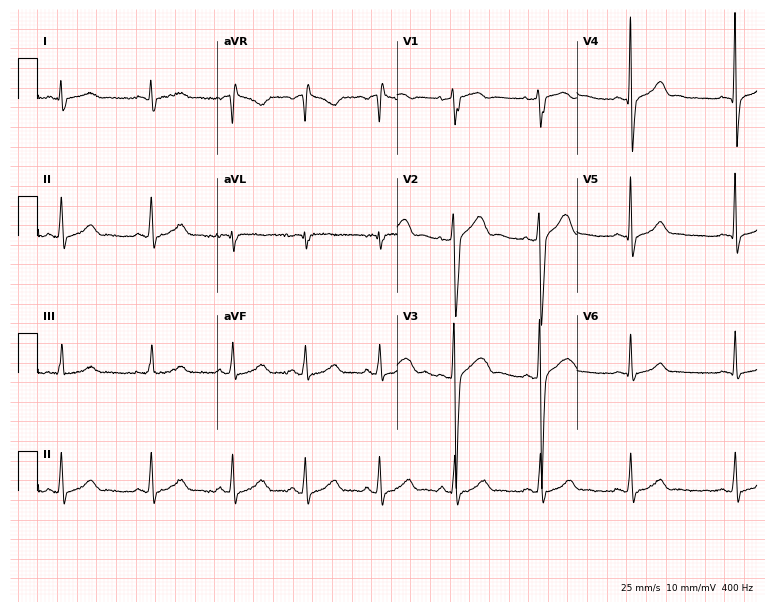
12-lead ECG from a man, 27 years old. Screened for six findings — first-degree AV block, right bundle branch block, left bundle branch block, sinus bradycardia, atrial fibrillation, sinus tachycardia — none is recorded.